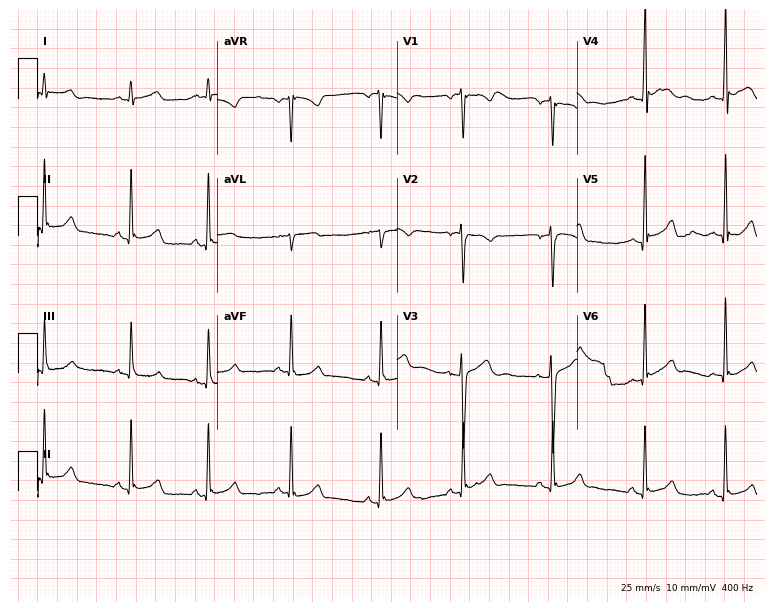
Resting 12-lead electrocardiogram. Patient: a male, 17 years old. None of these six findings is recorded: first-degree AV block, right bundle branch block (RBBB), left bundle branch block (LBBB), sinus bradycardia, atrial fibrillation (AF), sinus tachycardia. Other findings, if any, are not listed.